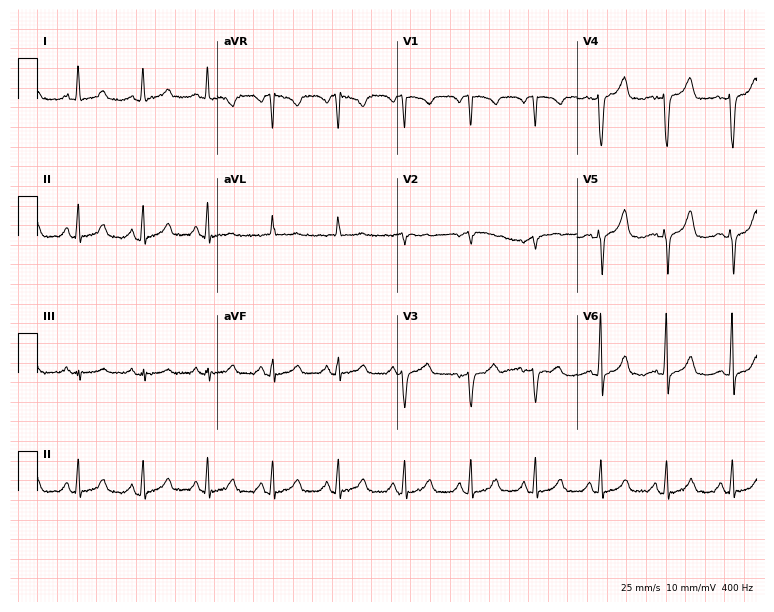
Electrocardiogram (7.3-second recording at 400 Hz), a woman, 39 years old. Of the six screened findings (first-degree AV block, right bundle branch block, left bundle branch block, sinus bradycardia, atrial fibrillation, sinus tachycardia), none is recorded. Other findings, if any, are not listed.